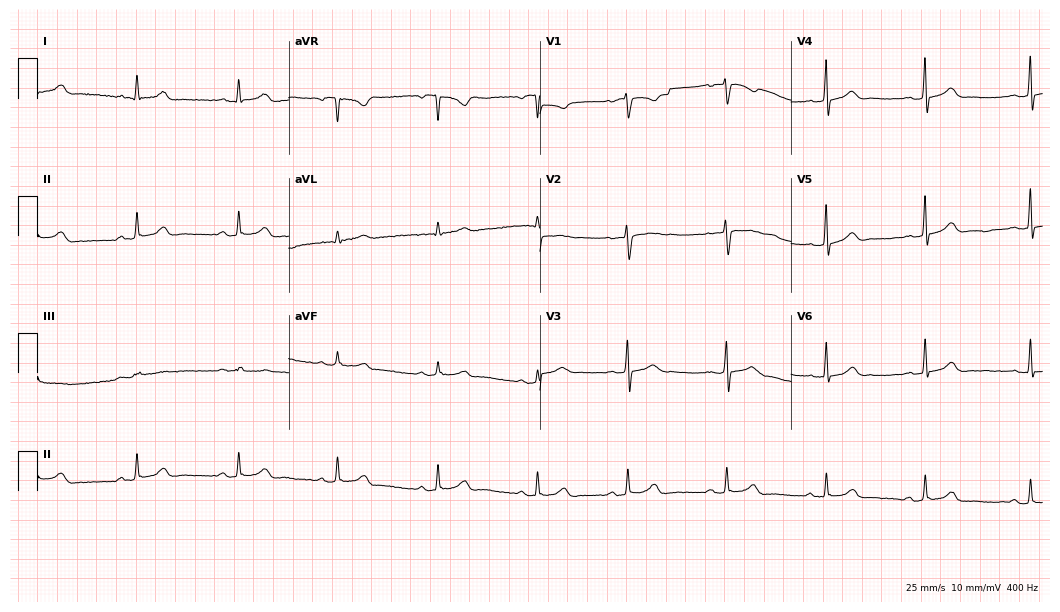
12-lead ECG from a 27-year-old female patient. Labelled as a normal ECG.